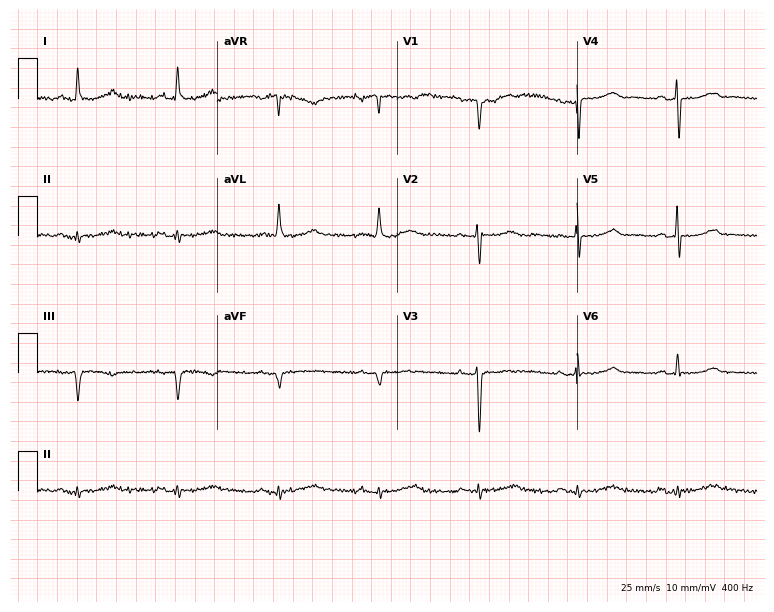
12-lead ECG from a 78-year-old female. Screened for six findings — first-degree AV block, right bundle branch block, left bundle branch block, sinus bradycardia, atrial fibrillation, sinus tachycardia — none is recorded. Findings outside these six are not listed.